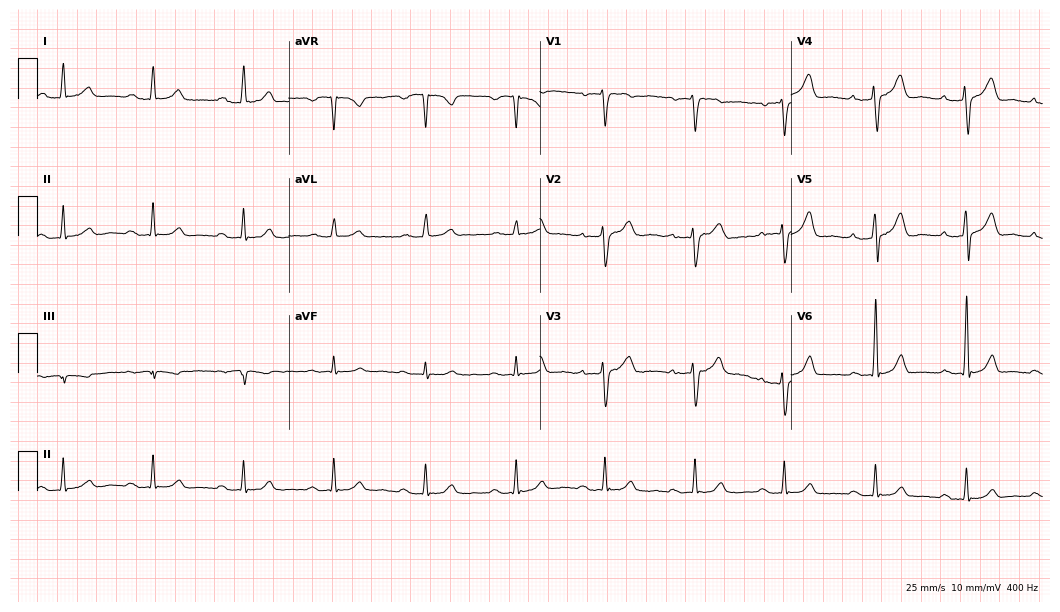
Standard 12-lead ECG recorded from a man, 67 years old. None of these six findings is recorded: first-degree AV block, right bundle branch block, left bundle branch block, sinus bradycardia, atrial fibrillation, sinus tachycardia. Other findings, if any, are not listed.